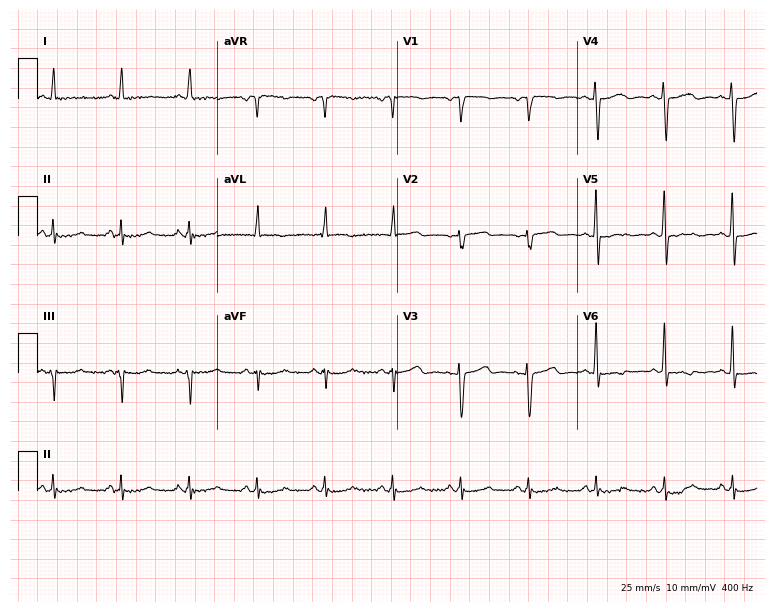
12-lead ECG from a 55-year-old female. Screened for six findings — first-degree AV block, right bundle branch block, left bundle branch block, sinus bradycardia, atrial fibrillation, sinus tachycardia — none is recorded.